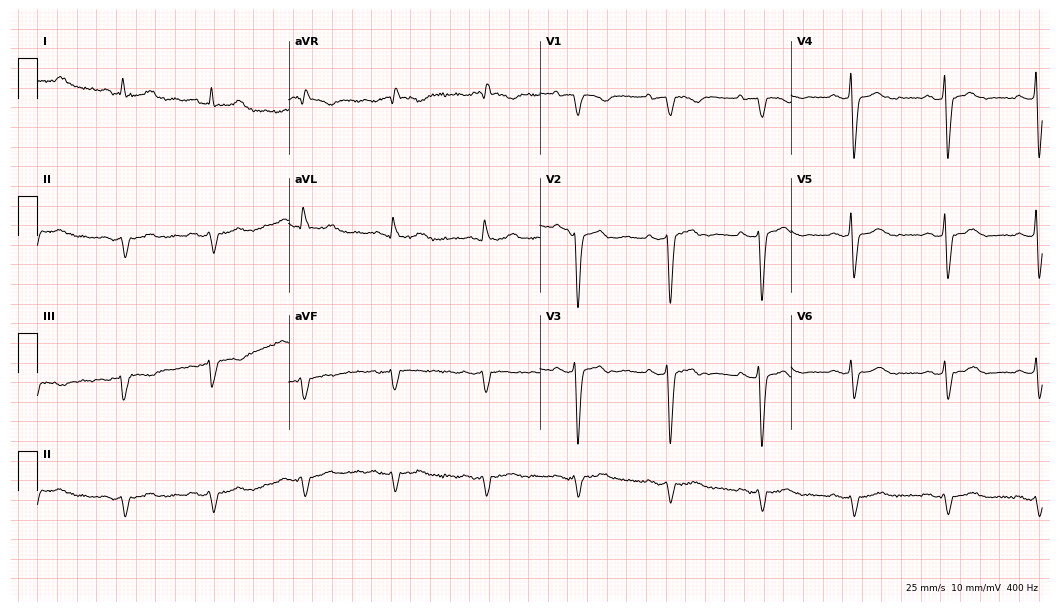
Resting 12-lead electrocardiogram. Patient: a male, 79 years old. None of these six findings is recorded: first-degree AV block, right bundle branch block, left bundle branch block, sinus bradycardia, atrial fibrillation, sinus tachycardia. Only these six findings were labelled.